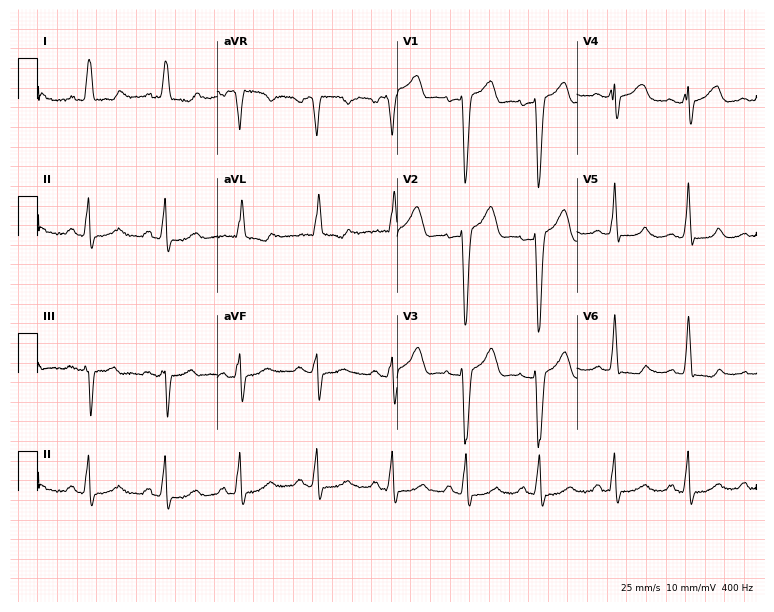
ECG (7.3-second recording at 400 Hz) — a 74-year-old female patient. Screened for six findings — first-degree AV block, right bundle branch block (RBBB), left bundle branch block (LBBB), sinus bradycardia, atrial fibrillation (AF), sinus tachycardia — none is recorded.